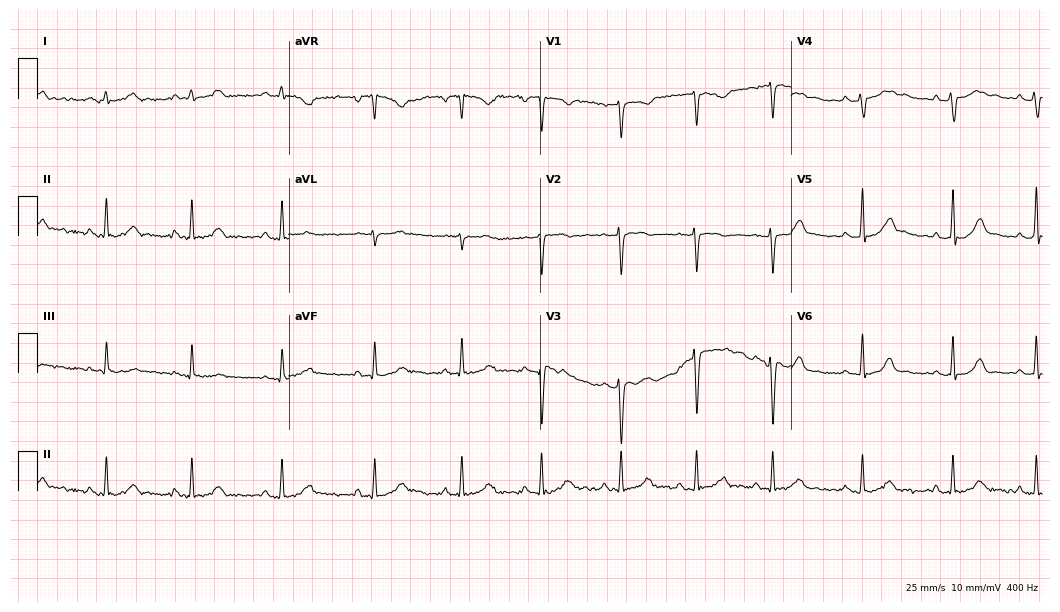
12-lead ECG from a female patient, 29 years old. Labelled as a normal ECG.